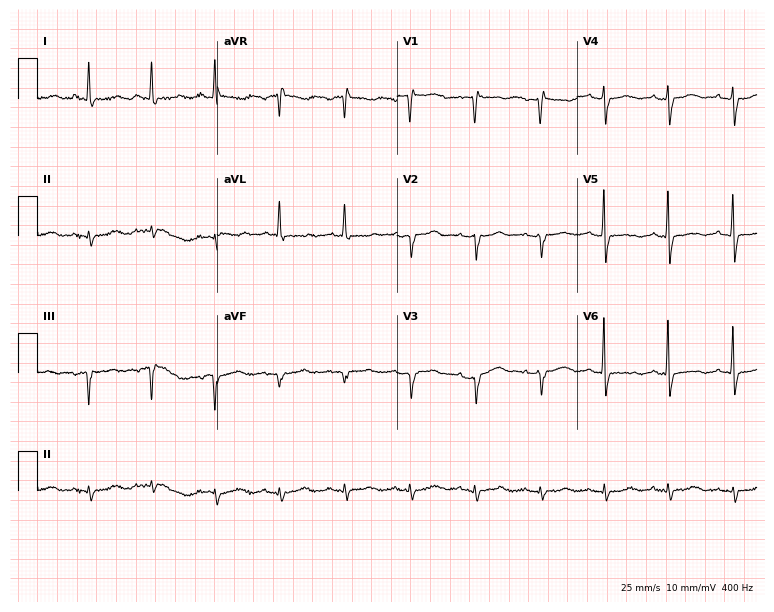
Electrocardiogram, a female, 76 years old. Of the six screened findings (first-degree AV block, right bundle branch block, left bundle branch block, sinus bradycardia, atrial fibrillation, sinus tachycardia), none is recorded.